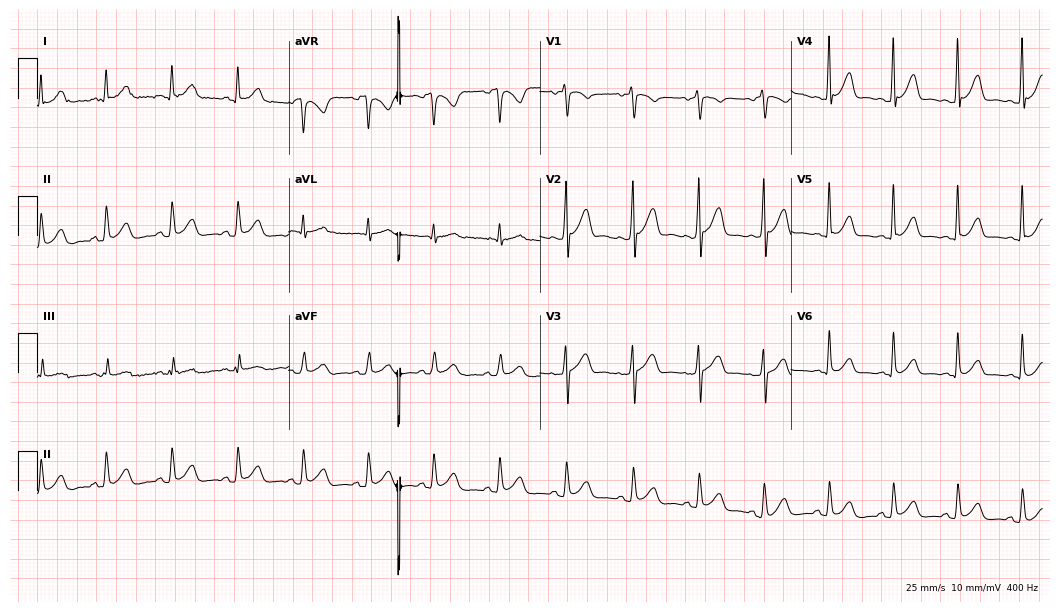
12-lead ECG from a 38-year-old man (10.2-second recording at 400 Hz). Recorded interpretation: within normal limits.